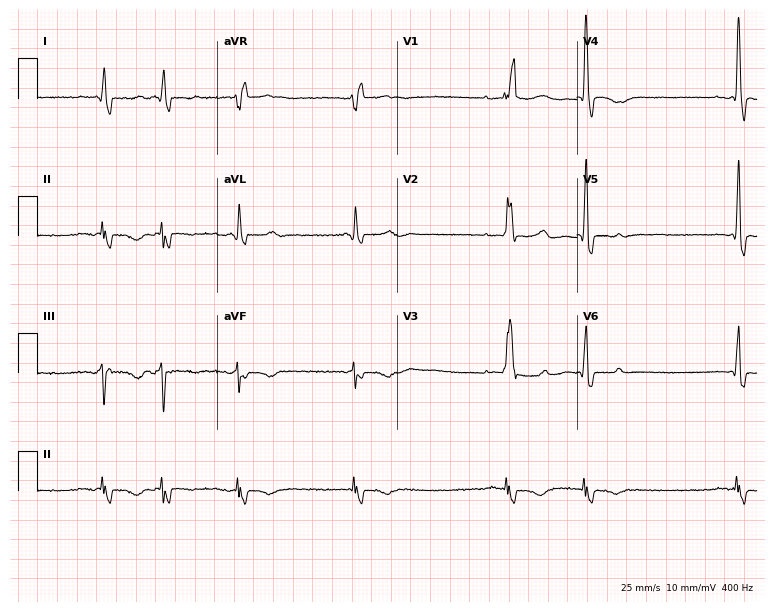
Standard 12-lead ECG recorded from a man, 85 years old. None of these six findings is recorded: first-degree AV block, right bundle branch block (RBBB), left bundle branch block (LBBB), sinus bradycardia, atrial fibrillation (AF), sinus tachycardia.